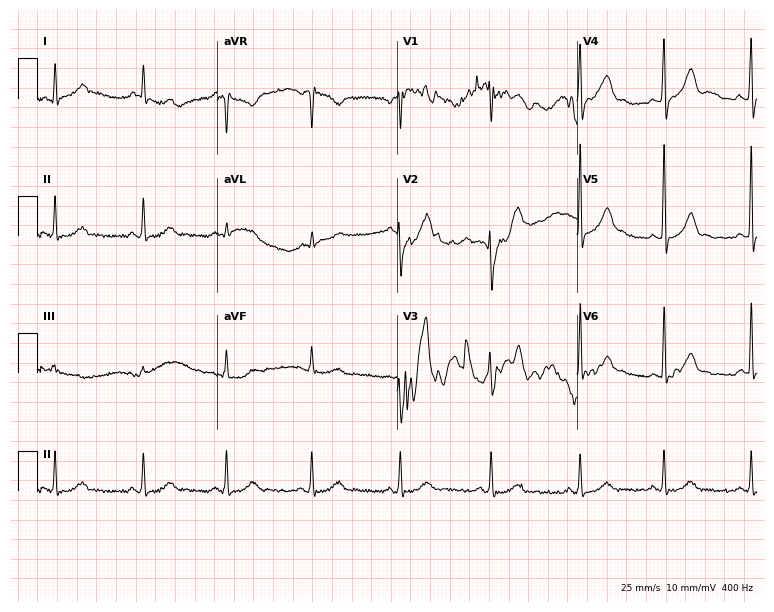
Resting 12-lead electrocardiogram. Patient: a male, 45 years old. None of these six findings is recorded: first-degree AV block, right bundle branch block, left bundle branch block, sinus bradycardia, atrial fibrillation, sinus tachycardia.